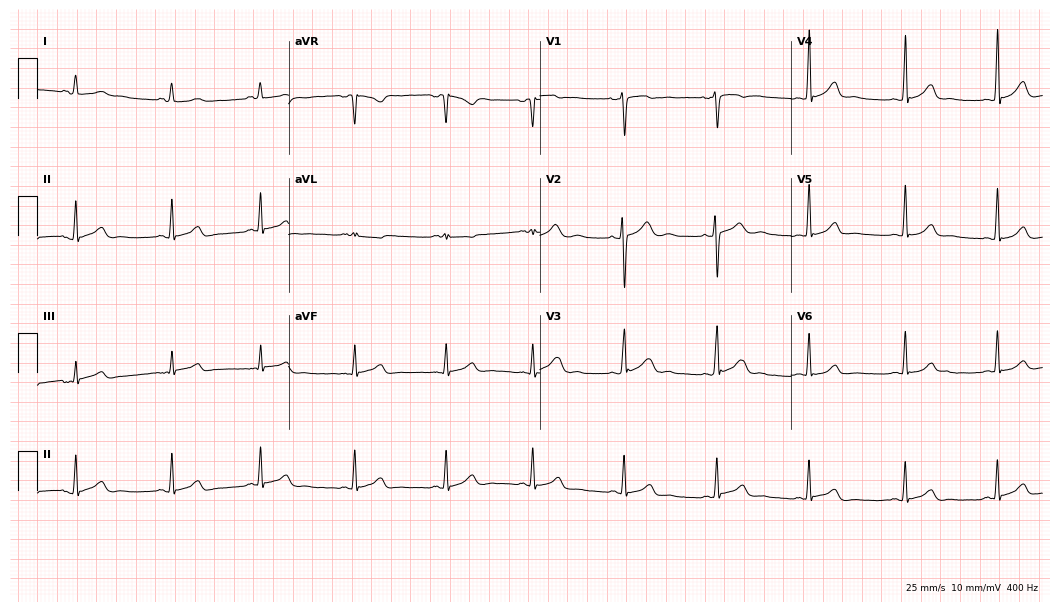
Standard 12-lead ECG recorded from a woman, 17 years old. Read as a normal ECG.